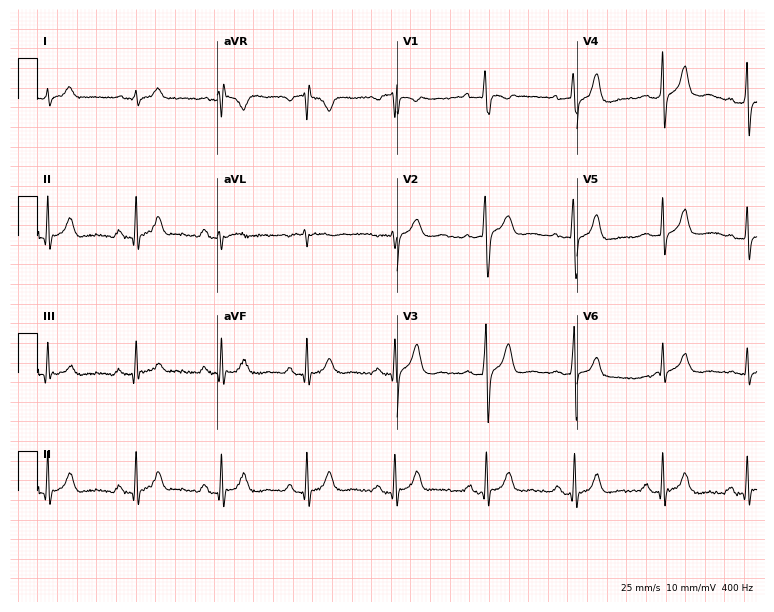
Standard 12-lead ECG recorded from a man, 51 years old. Read as a normal ECG.